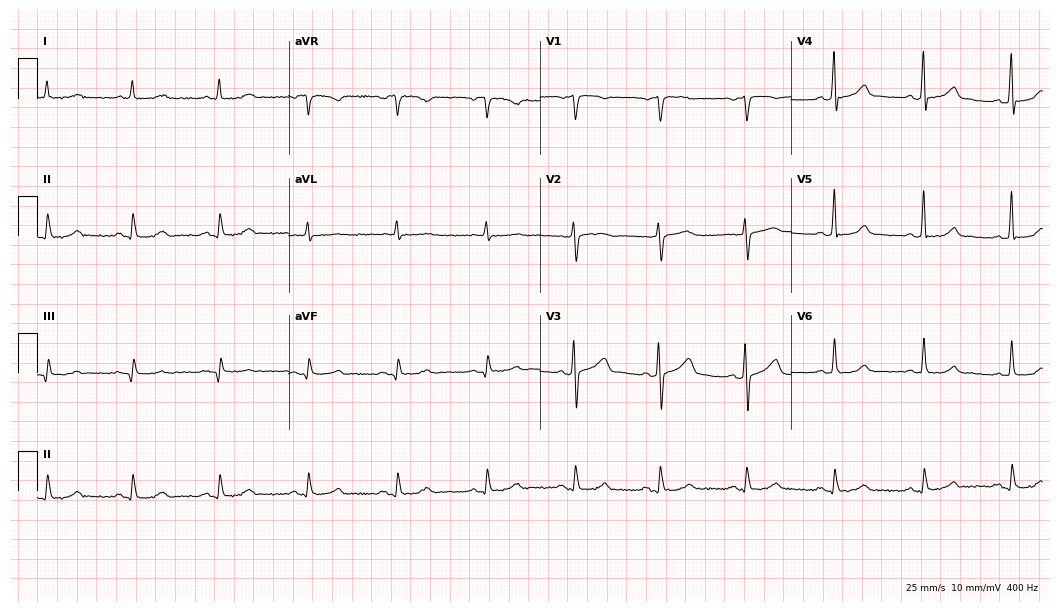
Standard 12-lead ECG recorded from a male, 59 years old (10.2-second recording at 400 Hz). None of these six findings is recorded: first-degree AV block, right bundle branch block (RBBB), left bundle branch block (LBBB), sinus bradycardia, atrial fibrillation (AF), sinus tachycardia.